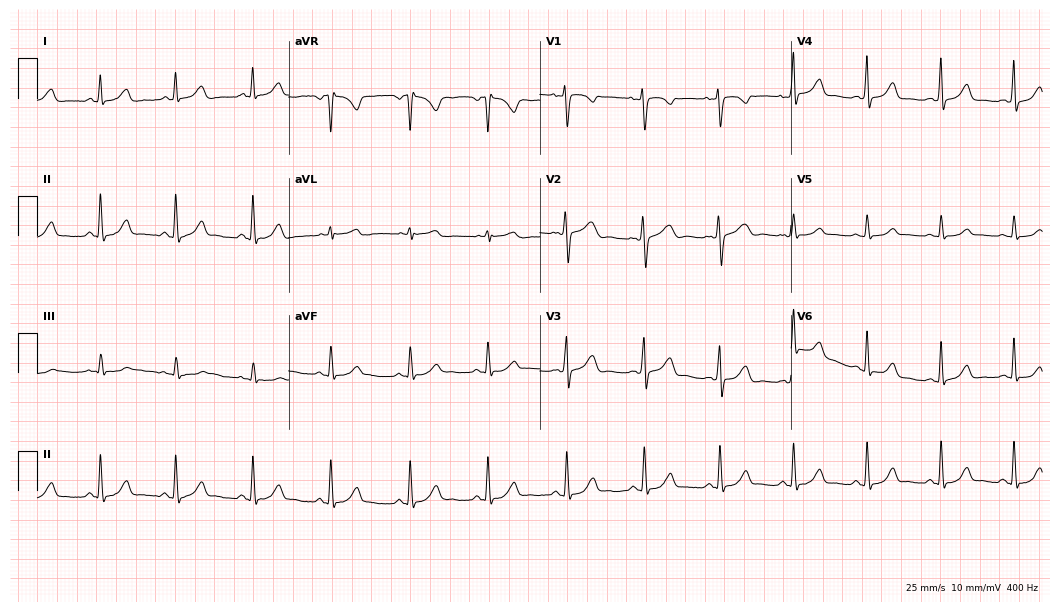
Resting 12-lead electrocardiogram. Patient: a 36-year-old female. Read as a normal ECG.